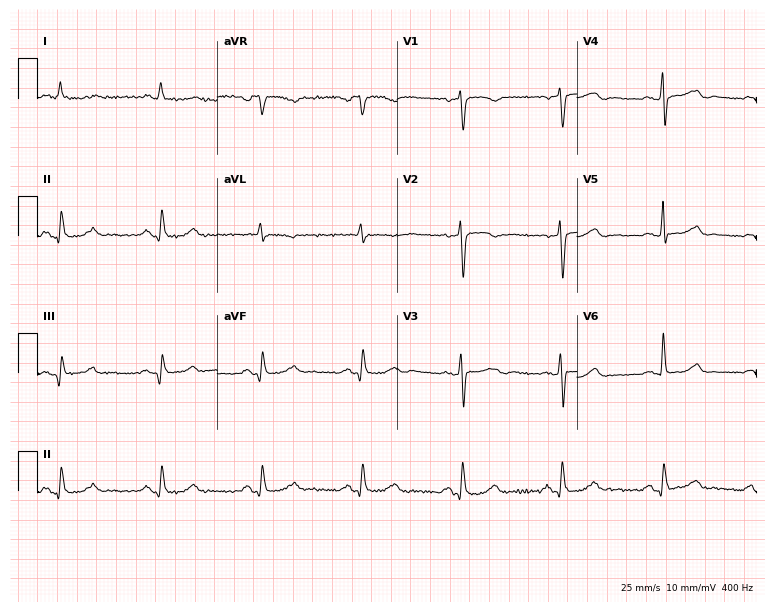
ECG (7.3-second recording at 400 Hz) — a woman, 73 years old. Screened for six findings — first-degree AV block, right bundle branch block, left bundle branch block, sinus bradycardia, atrial fibrillation, sinus tachycardia — none is recorded.